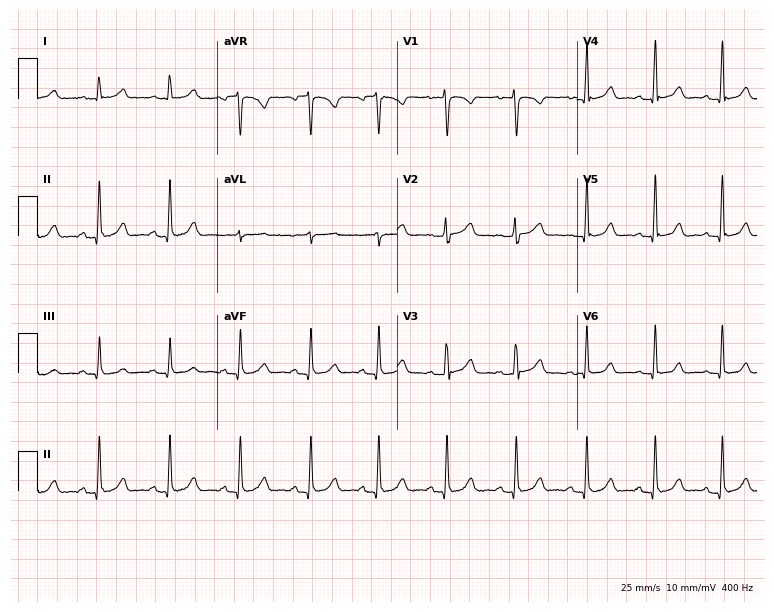
Resting 12-lead electrocardiogram (7.3-second recording at 400 Hz). Patient: a 36-year-old female. Read as a normal ECG.